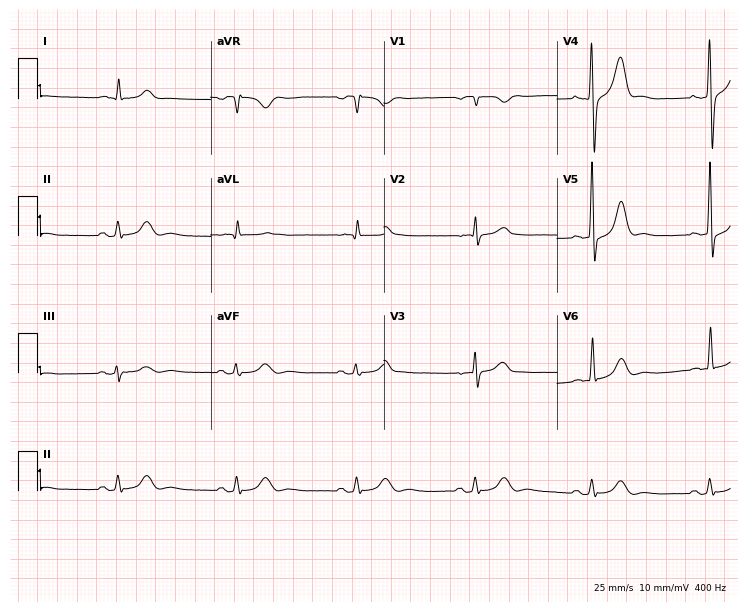
Electrocardiogram (7.1-second recording at 400 Hz), an 80-year-old male patient. Of the six screened findings (first-degree AV block, right bundle branch block, left bundle branch block, sinus bradycardia, atrial fibrillation, sinus tachycardia), none is recorded.